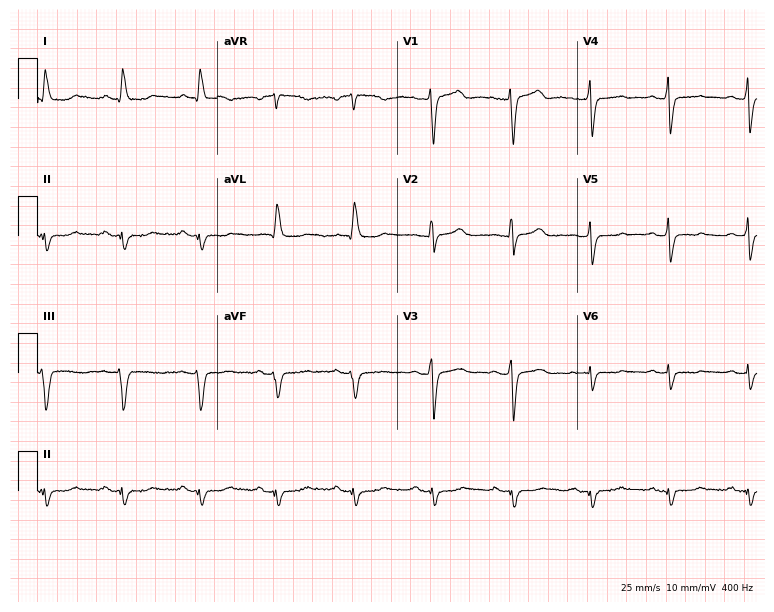
Electrocardiogram (7.3-second recording at 400 Hz), a 39-year-old woman. Of the six screened findings (first-degree AV block, right bundle branch block, left bundle branch block, sinus bradycardia, atrial fibrillation, sinus tachycardia), none is recorded. Other findings, if any, are not listed.